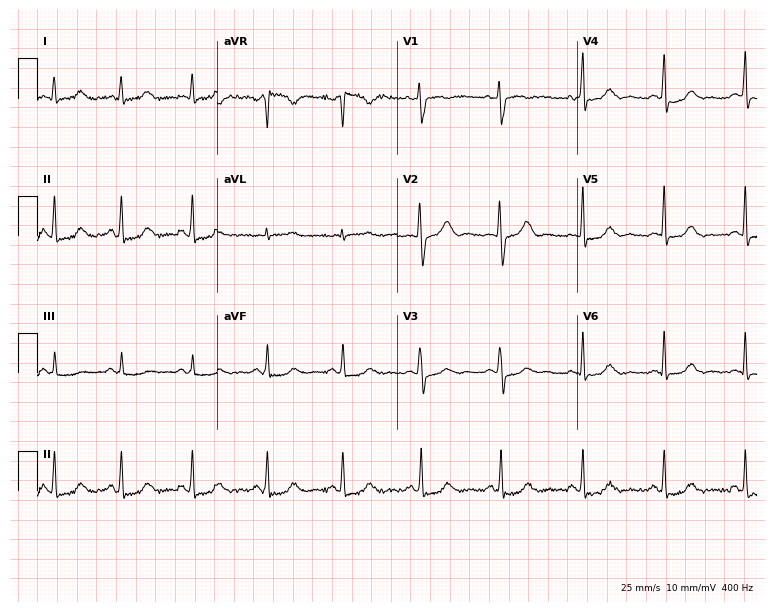
ECG — a 37-year-old woman. Labelled as a normal ECG.